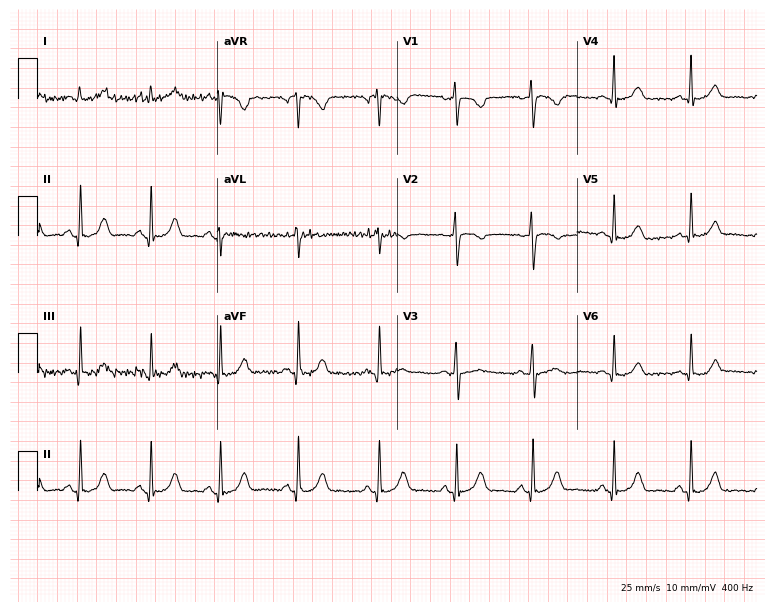
ECG (7.3-second recording at 400 Hz) — a 30-year-old female patient. Labelled as a normal ECG.